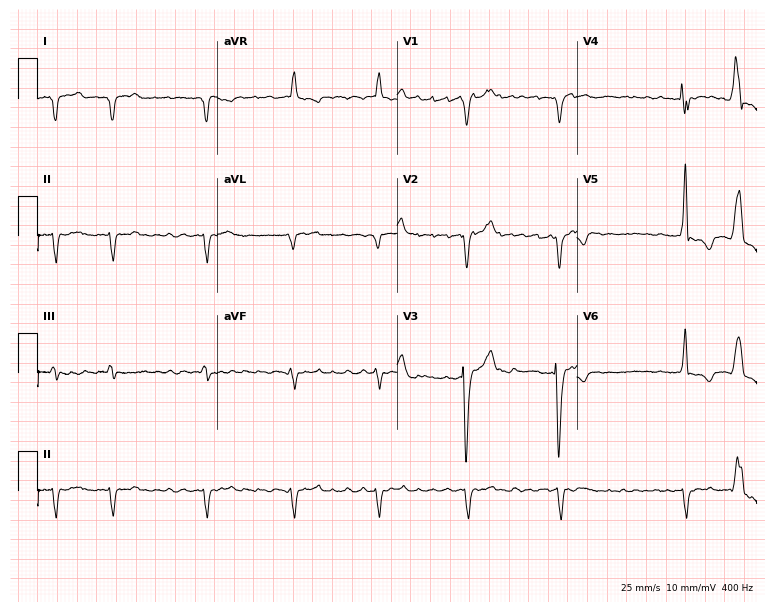
Standard 12-lead ECG recorded from a 64-year-old man. None of these six findings is recorded: first-degree AV block, right bundle branch block, left bundle branch block, sinus bradycardia, atrial fibrillation, sinus tachycardia. Only these six findings were labelled.